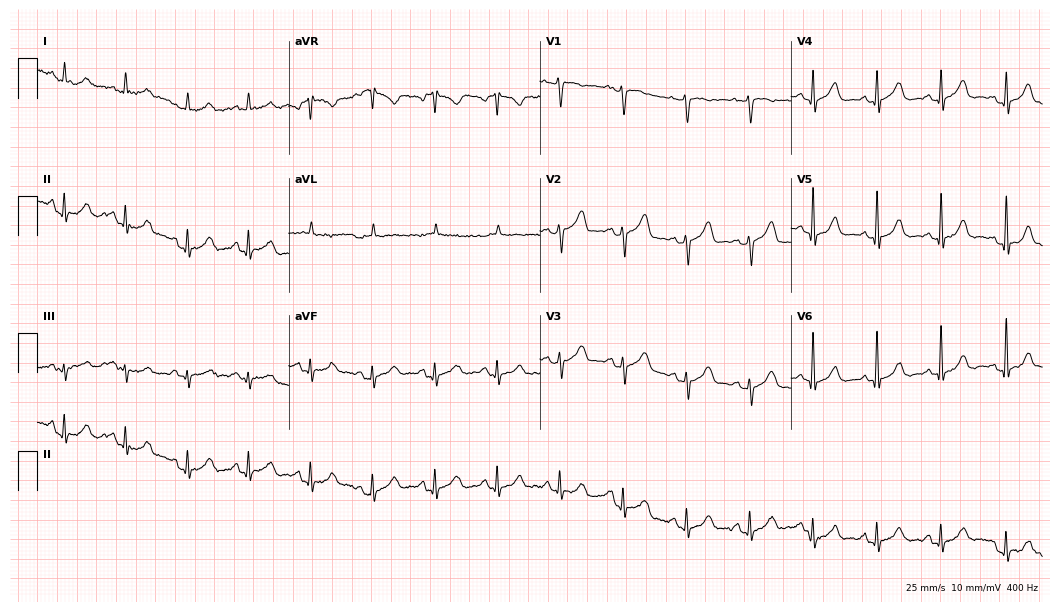
Electrocardiogram (10.2-second recording at 400 Hz), a female patient, 80 years old. Overall reading on record: normal ECG.